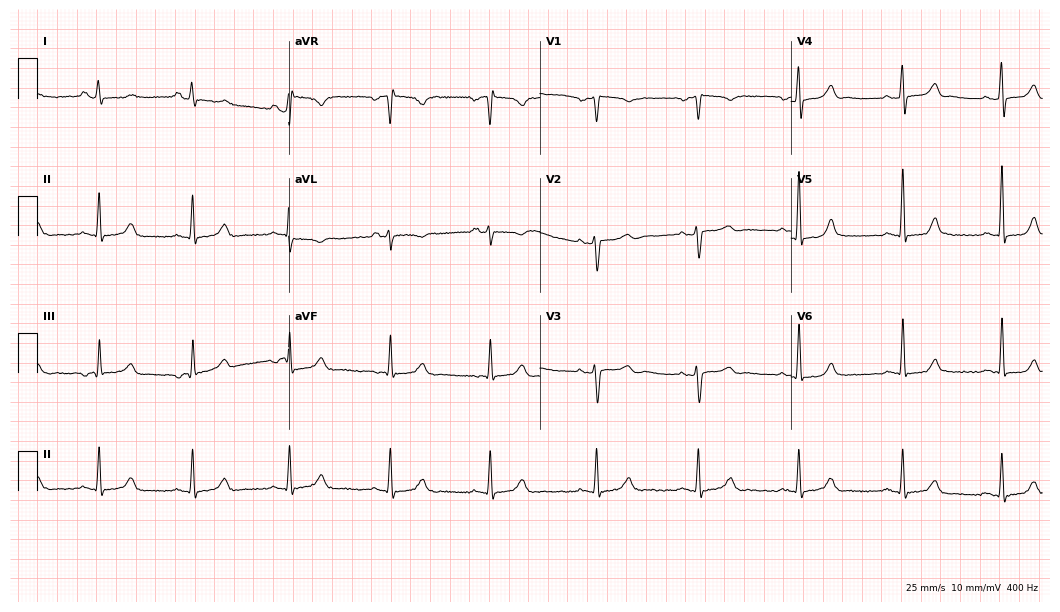
Electrocardiogram, a female patient, 81 years old. Of the six screened findings (first-degree AV block, right bundle branch block (RBBB), left bundle branch block (LBBB), sinus bradycardia, atrial fibrillation (AF), sinus tachycardia), none is recorded. Only these six findings were labelled.